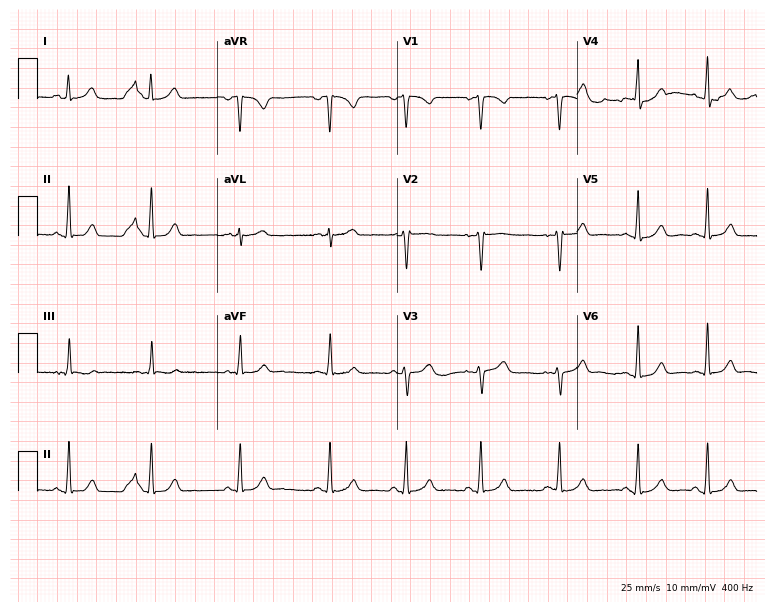
Standard 12-lead ECG recorded from a 31-year-old woman (7.3-second recording at 400 Hz). Read as a normal ECG.